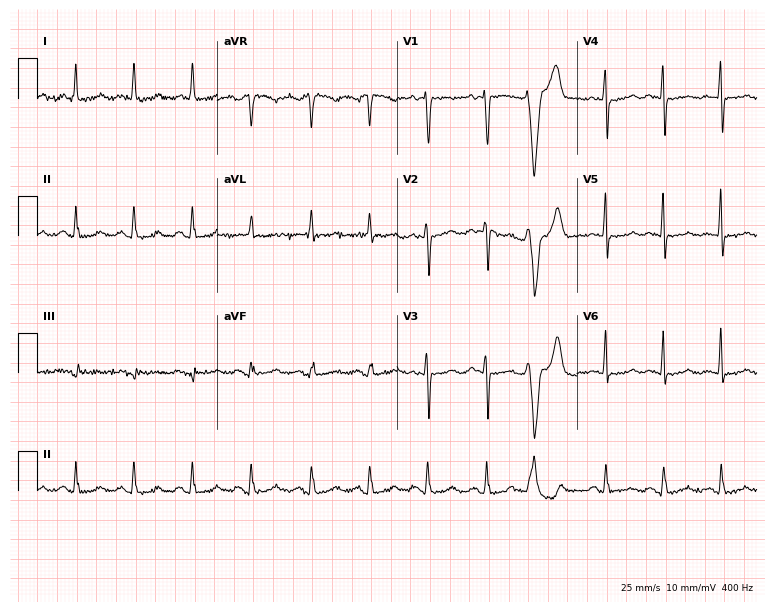
12-lead ECG from a 50-year-old woman. Findings include sinus tachycardia (a sinus rate of 100 beats per minute or more).